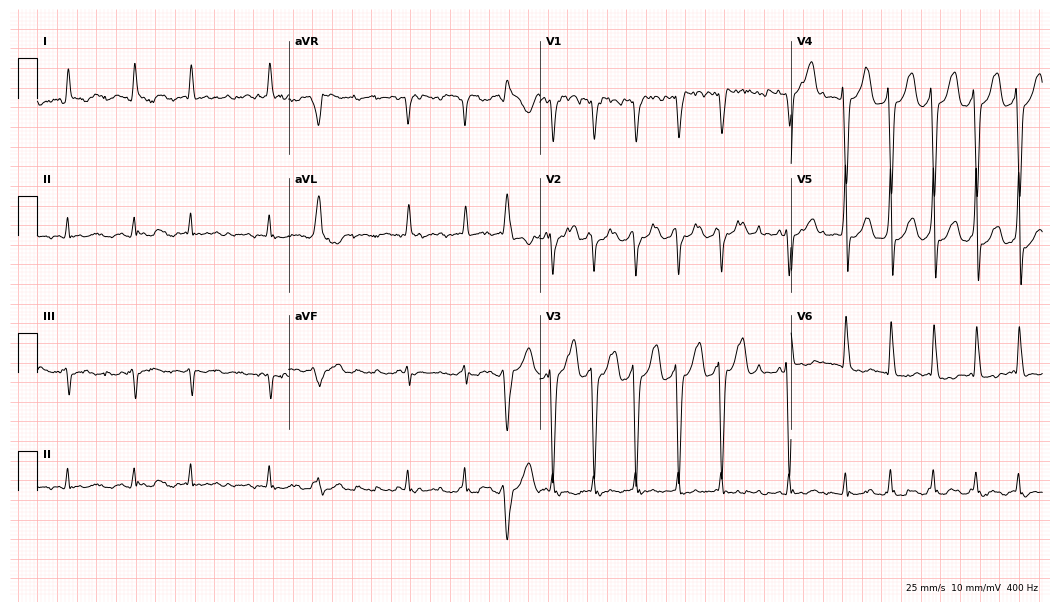
Electrocardiogram (10.2-second recording at 400 Hz), a 79-year-old male patient. Interpretation includes atrial fibrillation.